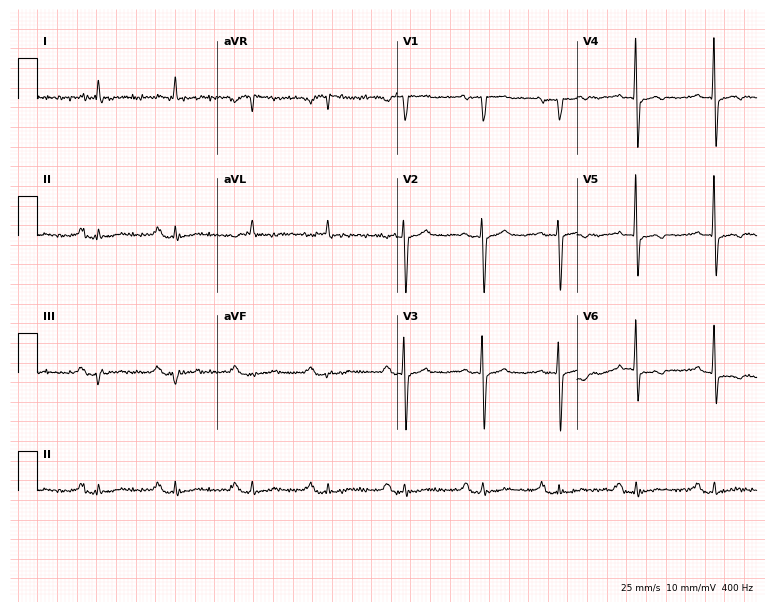
Resting 12-lead electrocardiogram. Patient: an 80-year-old female. None of these six findings is recorded: first-degree AV block, right bundle branch block, left bundle branch block, sinus bradycardia, atrial fibrillation, sinus tachycardia. Findings outside these six are not listed.